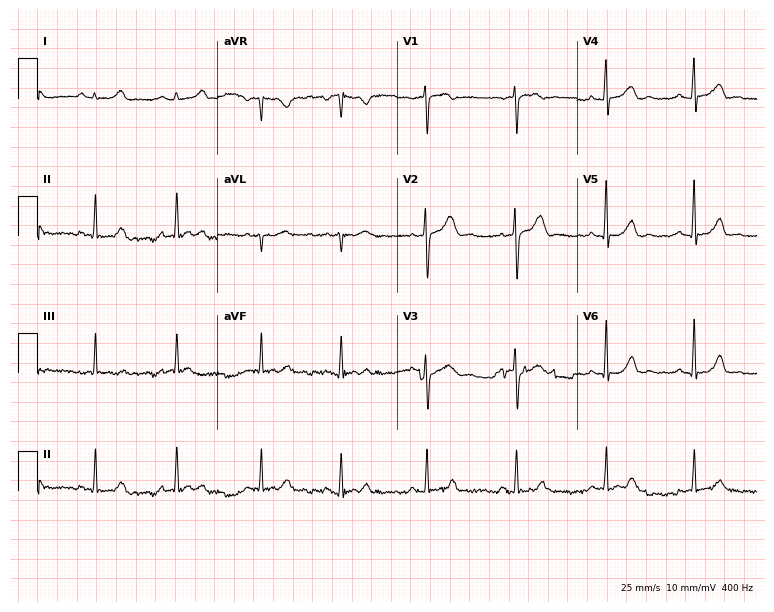
Standard 12-lead ECG recorded from a woman, 27 years old (7.3-second recording at 400 Hz). None of these six findings is recorded: first-degree AV block, right bundle branch block (RBBB), left bundle branch block (LBBB), sinus bradycardia, atrial fibrillation (AF), sinus tachycardia. Other findings, if any, are not listed.